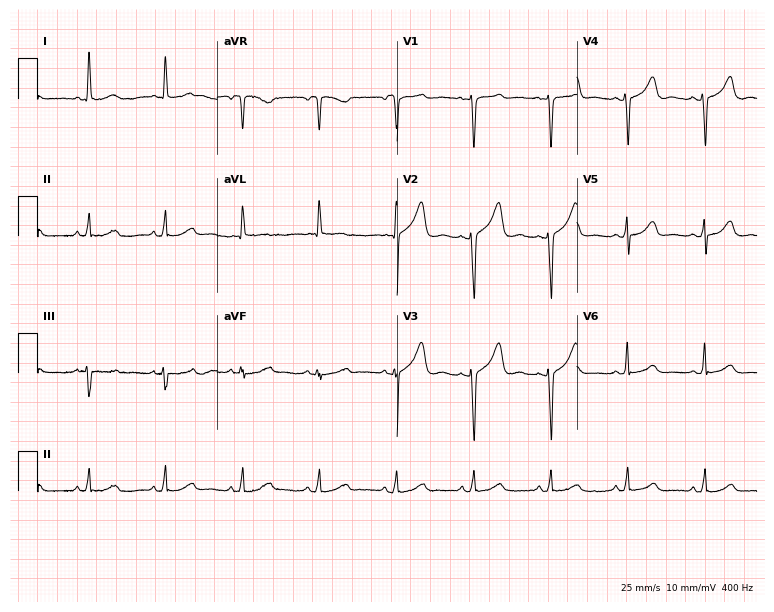
Resting 12-lead electrocardiogram. Patient: a female, 45 years old. None of these six findings is recorded: first-degree AV block, right bundle branch block, left bundle branch block, sinus bradycardia, atrial fibrillation, sinus tachycardia. Only these six findings were labelled.